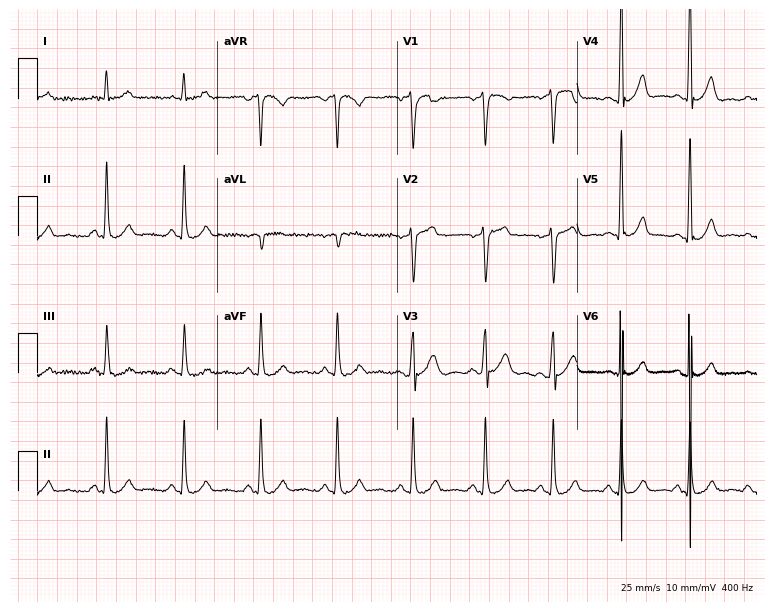
12-lead ECG from a 28-year-old male patient. Labelled as a normal ECG.